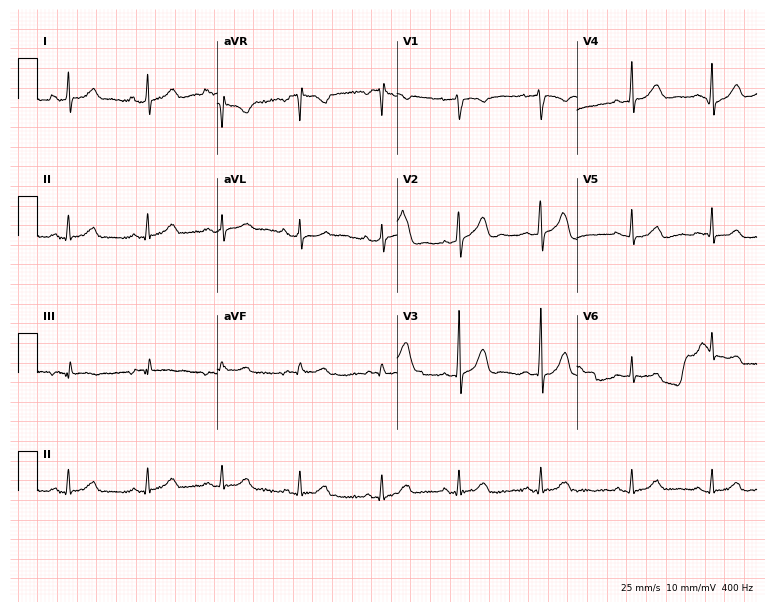
Standard 12-lead ECG recorded from a woman, 26 years old (7.3-second recording at 400 Hz). Read as a normal ECG.